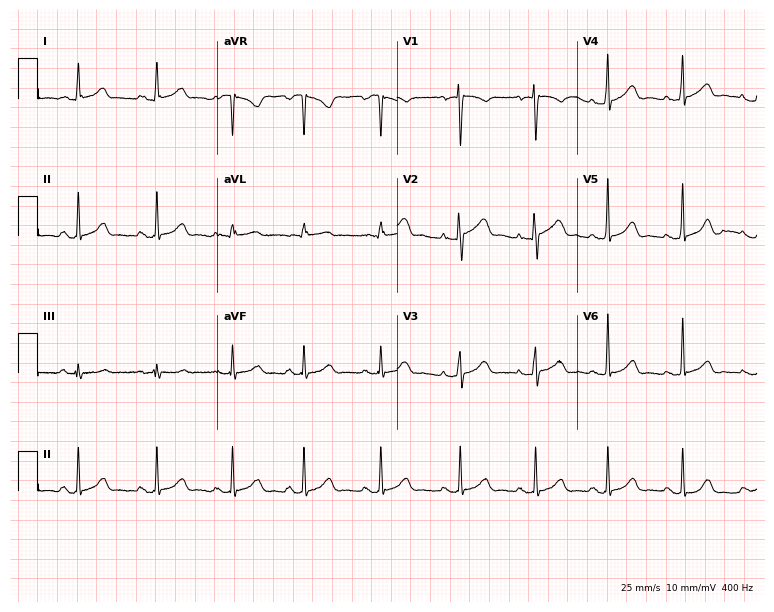
Standard 12-lead ECG recorded from a 36-year-old woman. Read as a normal ECG.